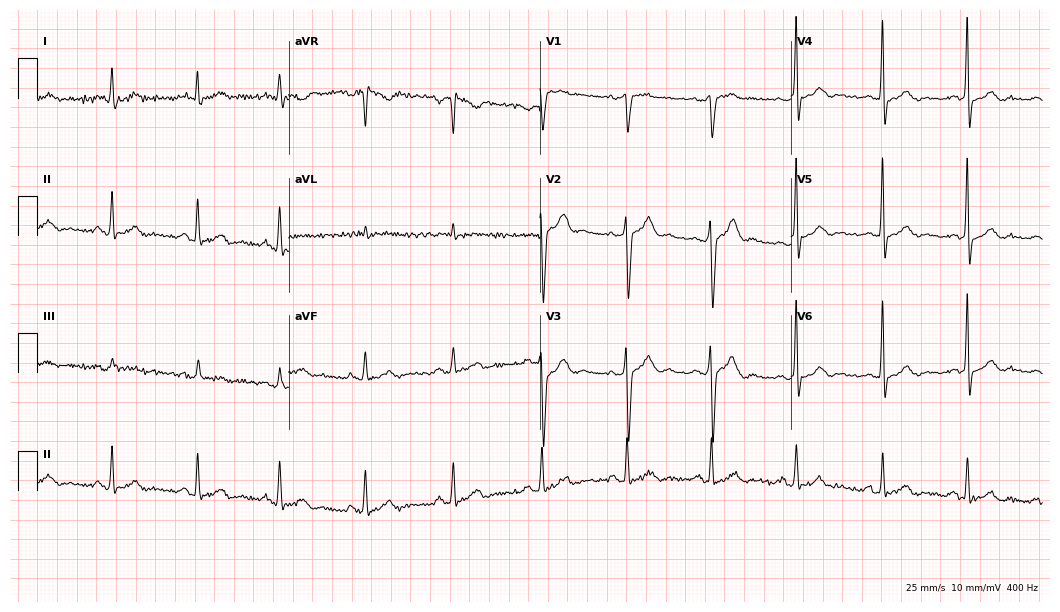
Standard 12-lead ECG recorded from a man, 42 years old (10.2-second recording at 400 Hz). None of these six findings is recorded: first-degree AV block, right bundle branch block, left bundle branch block, sinus bradycardia, atrial fibrillation, sinus tachycardia. Only these six findings were labelled.